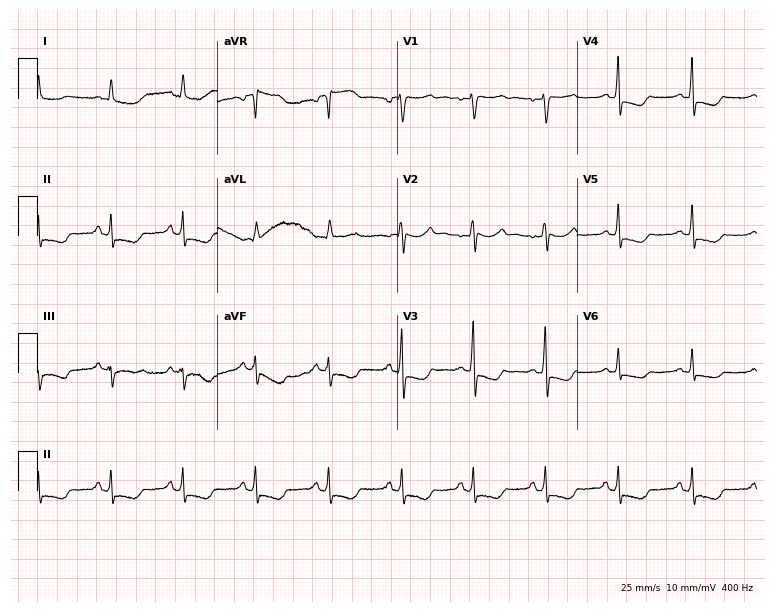
Resting 12-lead electrocardiogram (7.3-second recording at 400 Hz). Patient: a female, 43 years old. None of these six findings is recorded: first-degree AV block, right bundle branch block, left bundle branch block, sinus bradycardia, atrial fibrillation, sinus tachycardia.